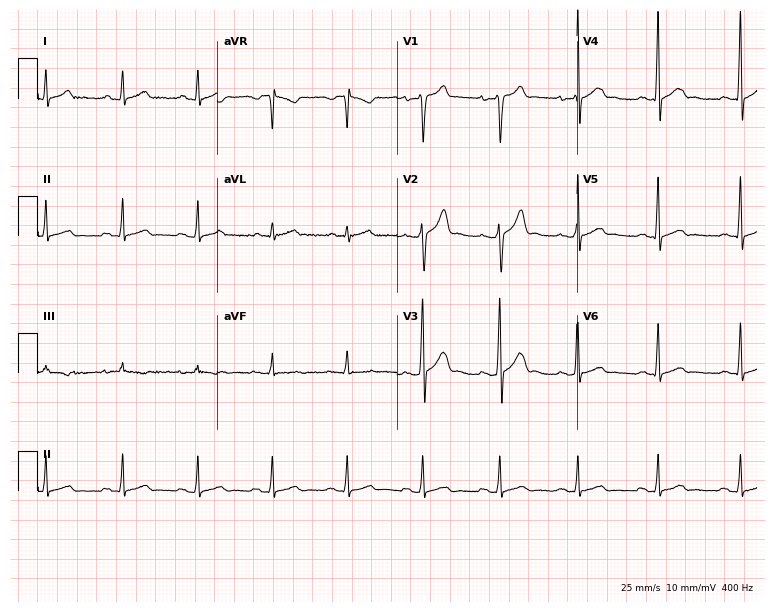
Electrocardiogram (7.3-second recording at 400 Hz), a man, 36 years old. Overall reading on record: normal ECG.